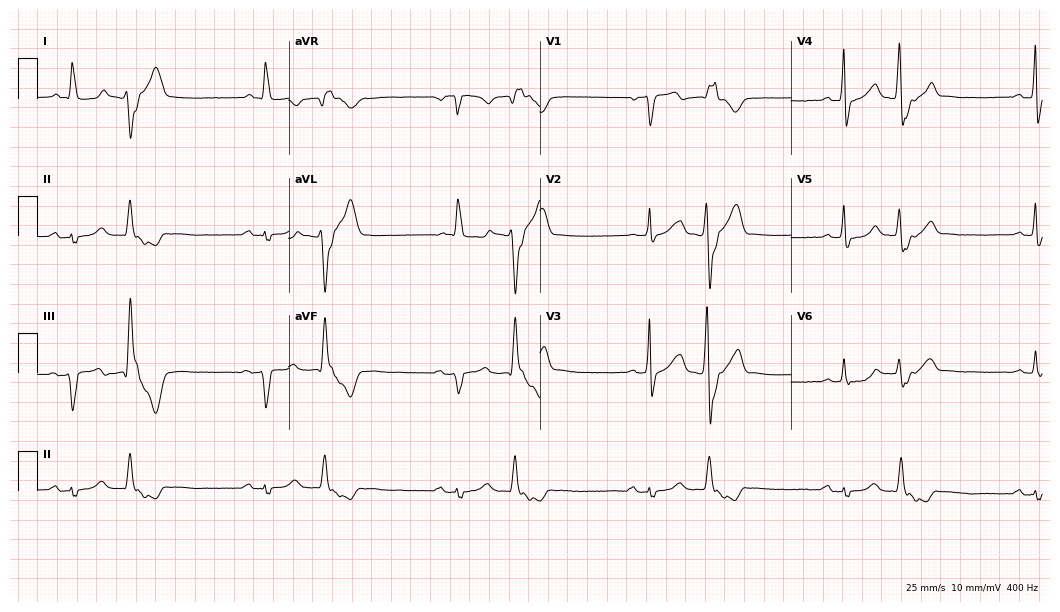
Standard 12-lead ECG recorded from a 78-year-old man. None of these six findings is recorded: first-degree AV block, right bundle branch block (RBBB), left bundle branch block (LBBB), sinus bradycardia, atrial fibrillation (AF), sinus tachycardia. Other findings, if any, are not listed.